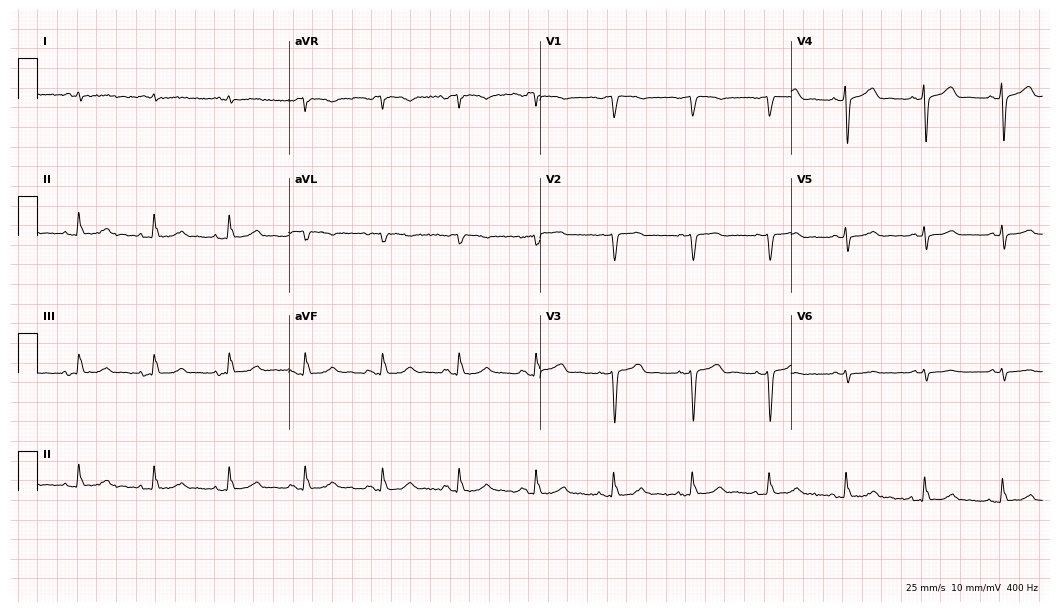
12-lead ECG from an 85-year-old male patient (10.2-second recording at 400 Hz). No first-degree AV block, right bundle branch block, left bundle branch block, sinus bradycardia, atrial fibrillation or sinus tachycardia recorded for this tracing.